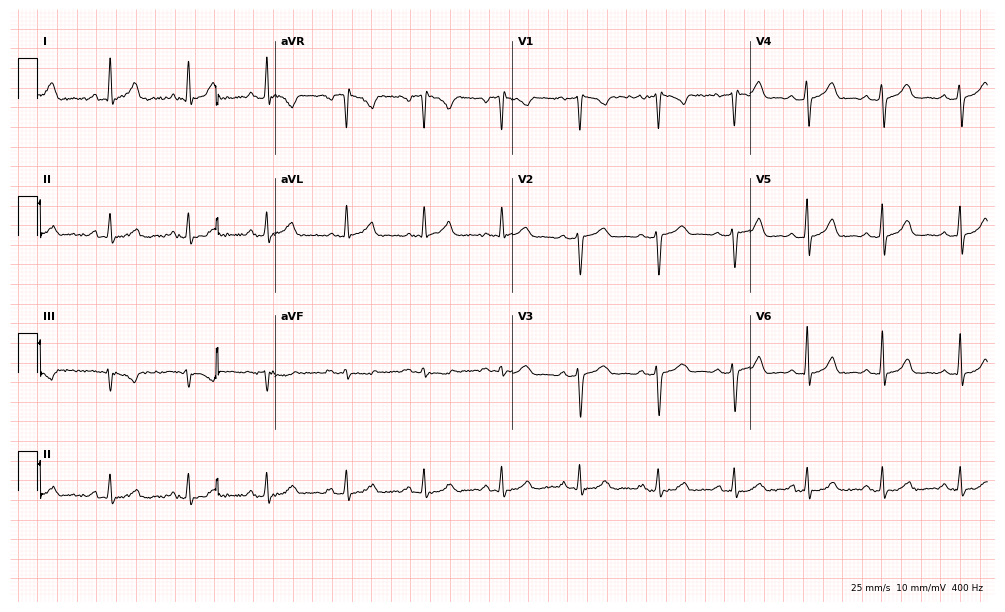
Resting 12-lead electrocardiogram. Patient: a 22-year-old female. Read as a normal ECG.